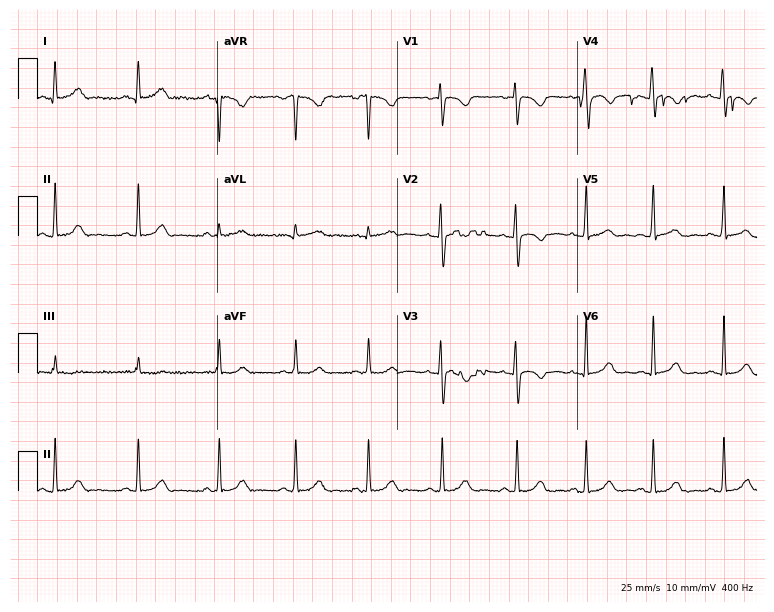
Electrocardiogram (7.3-second recording at 400 Hz), a 17-year-old woman. Overall reading on record: normal ECG.